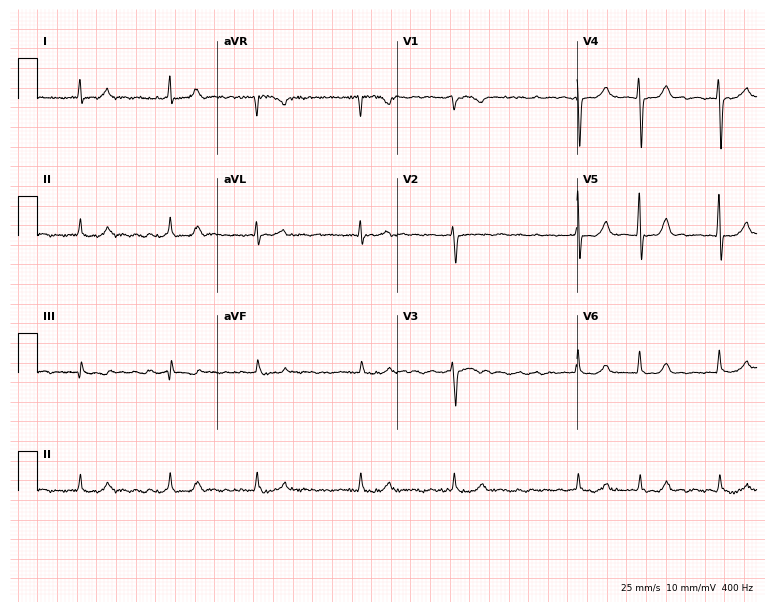
ECG (7.3-second recording at 400 Hz) — a male, 83 years old. Screened for six findings — first-degree AV block, right bundle branch block, left bundle branch block, sinus bradycardia, atrial fibrillation, sinus tachycardia — none is recorded.